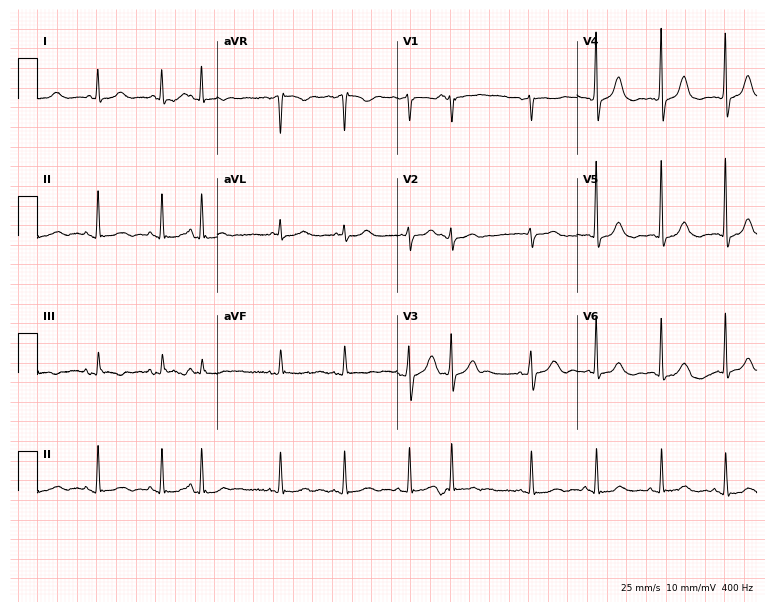
12-lead ECG from a female, 76 years old. No first-degree AV block, right bundle branch block, left bundle branch block, sinus bradycardia, atrial fibrillation or sinus tachycardia recorded for this tracing.